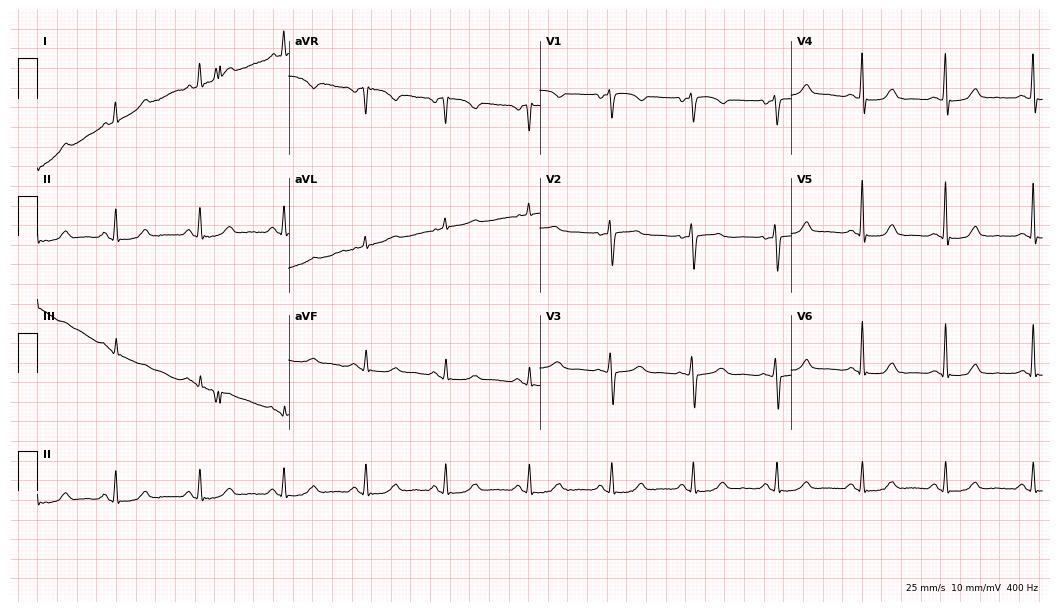
Resting 12-lead electrocardiogram. Patient: a 46-year-old female. None of these six findings is recorded: first-degree AV block, right bundle branch block, left bundle branch block, sinus bradycardia, atrial fibrillation, sinus tachycardia.